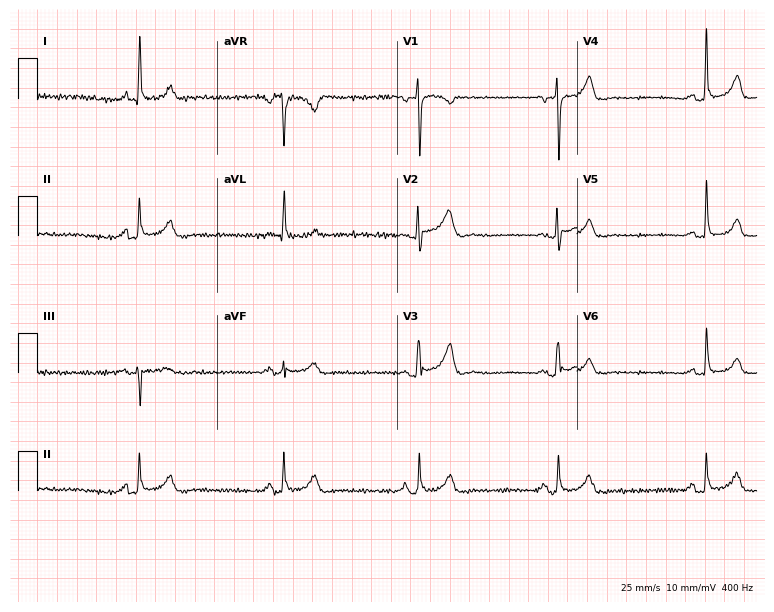
12-lead ECG from a female, 59 years old. Findings include sinus bradycardia (a sinus rate of 50 beats per minute or less).